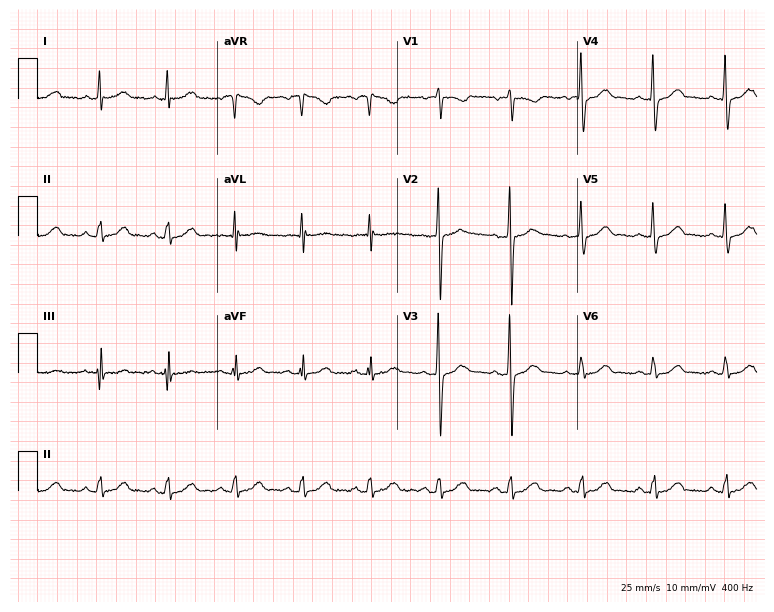
12-lead ECG from a male, 62 years old. Recorded interpretation: within normal limits.